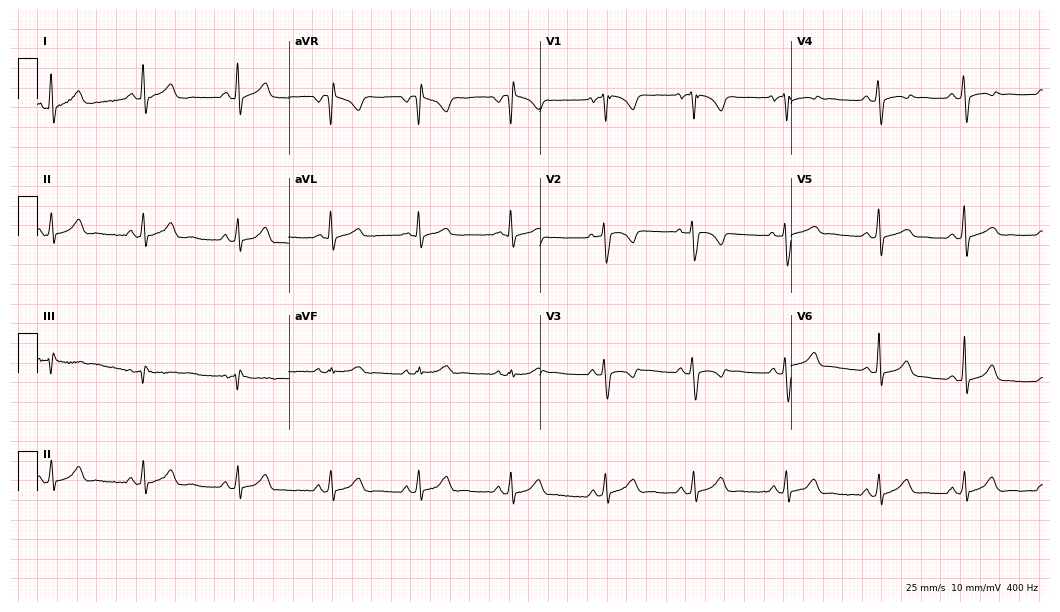
Resting 12-lead electrocardiogram. Patient: a 25-year-old female. Read as a normal ECG.